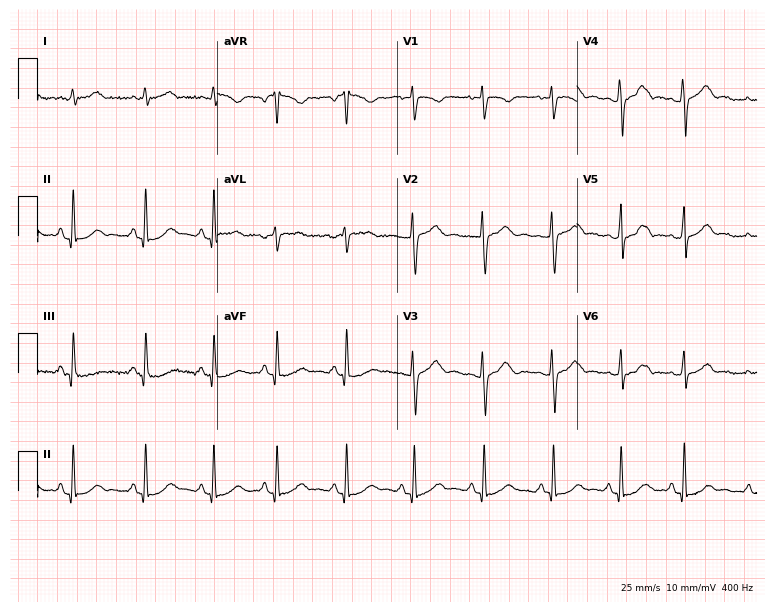
Standard 12-lead ECG recorded from a woman, 23 years old (7.3-second recording at 400 Hz). None of these six findings is recorded: first-degree AV block, right bundle branch block, left bundle branch block, sinus bradycardia, atrial fibrillation, sinus tachycardia. Findings outside these six are not listed.